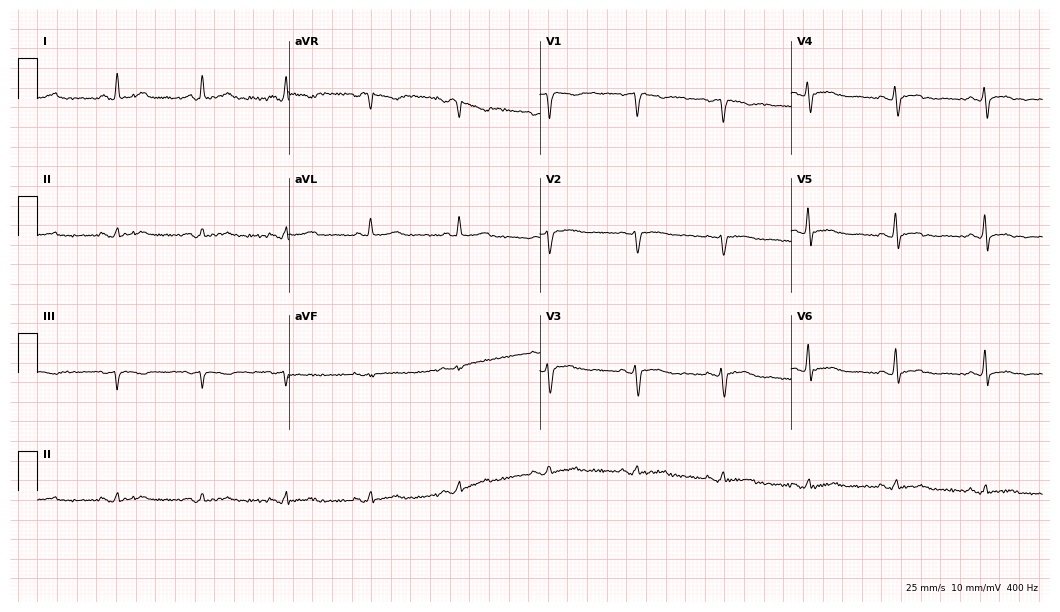
ECG (10.2-second recording at 400 Hz) — a female patient, 64 years old. Screened for six findings — first-degree AV block, right bundle branch block, left bundle branch block, sinus bradycardia, atrial fibrillation, sinus tachycardia — none is recorded. Findings outside these six are not listed.